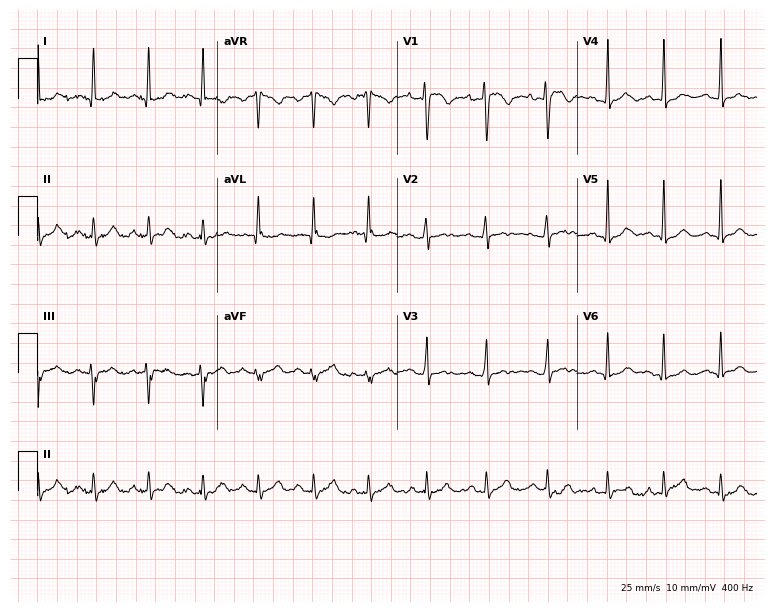
Resting 12-lead electrocardiogram (7.3-second recording at 400 Hz). Patient: a female, 22 years old. The tracing shows sinus tachycardia (a sinus rate of 100 beats per minute or more).